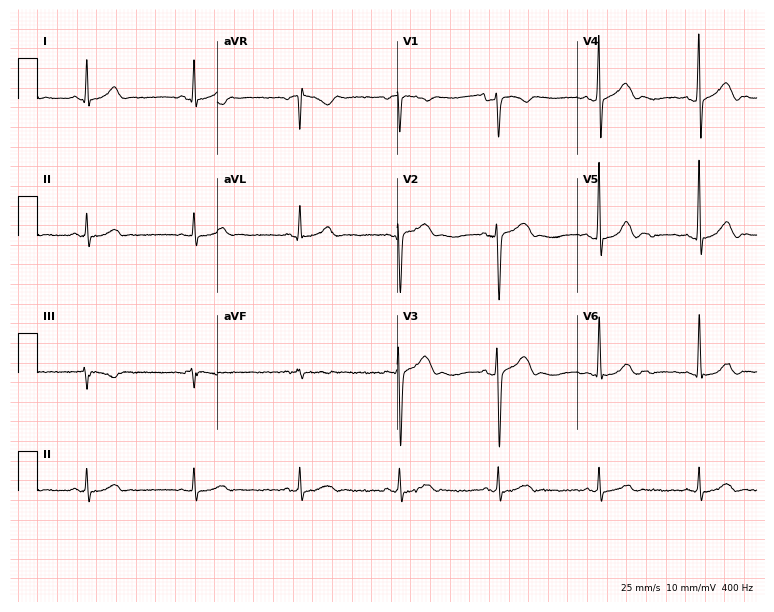
ECG — a 31-year-old man. Labelled as a normal ECG.